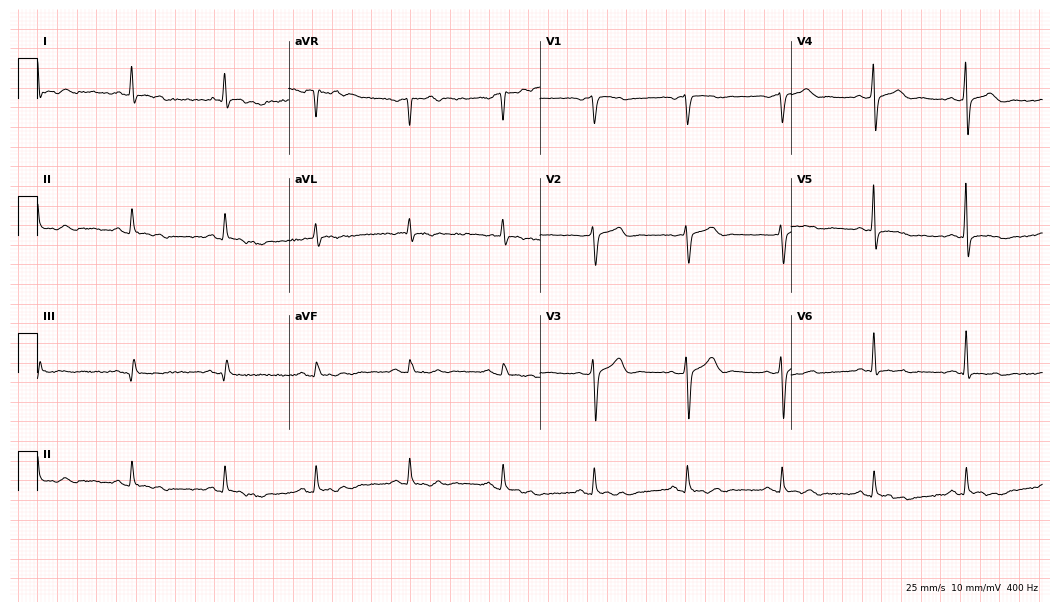
Electrocardiogram (10.2-second recording at 400 Hz), a male, 65 years old. Of the six screened findings (first-degree AV block, right bundle branch block (RBBB), left bundle branch block (LBBB), sinus bradycardia, atrial fibrillation (AF), sinus tachycardia), none is recorded. Other findings, if any, are not listed.